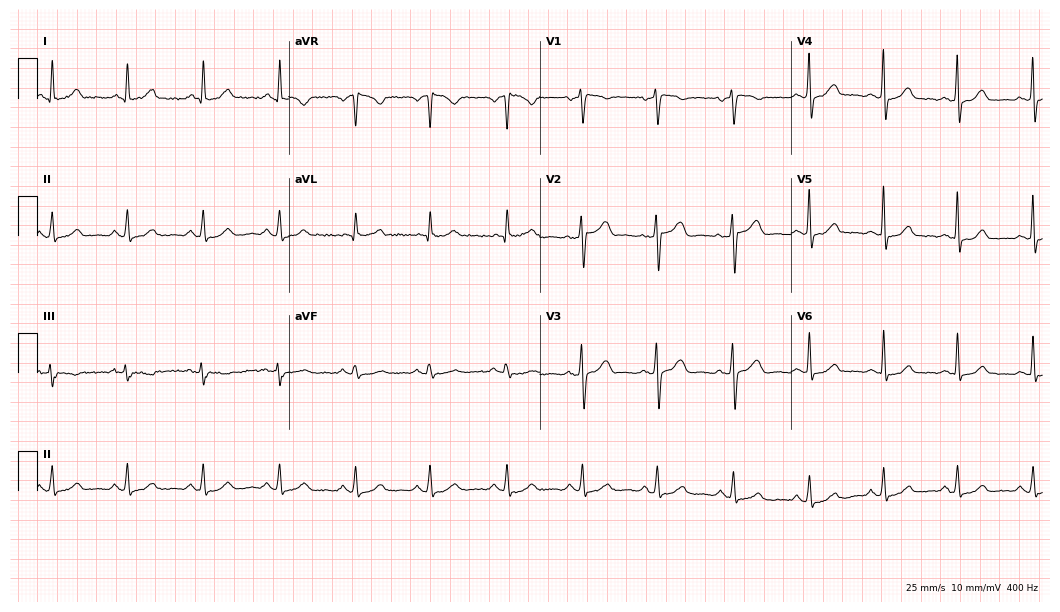
12-lead ECG from a female patient, 38 years old (10.2-second recording at 400 Hz). Recorded interpretation: within normal limits.